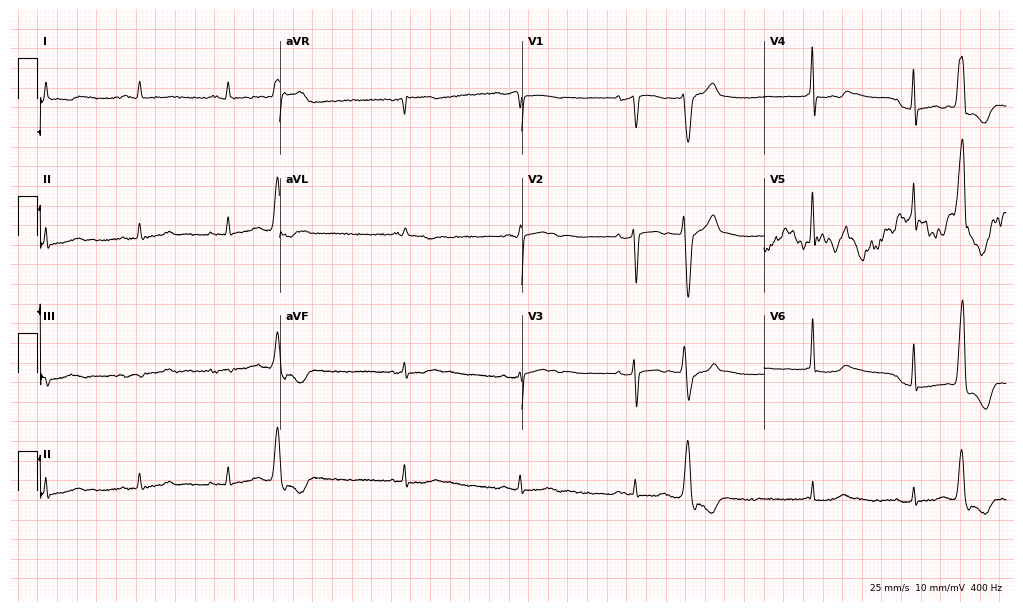
Electrocardiogram (9.9-second recording at 400 Hz), an 83-year-old man. Of the six screened findings (first-degree AV block, right bundle branch block, left bundle branch block, sinus bradycardia, atrial fibrillation, sinus tachycardia), none is recorded.